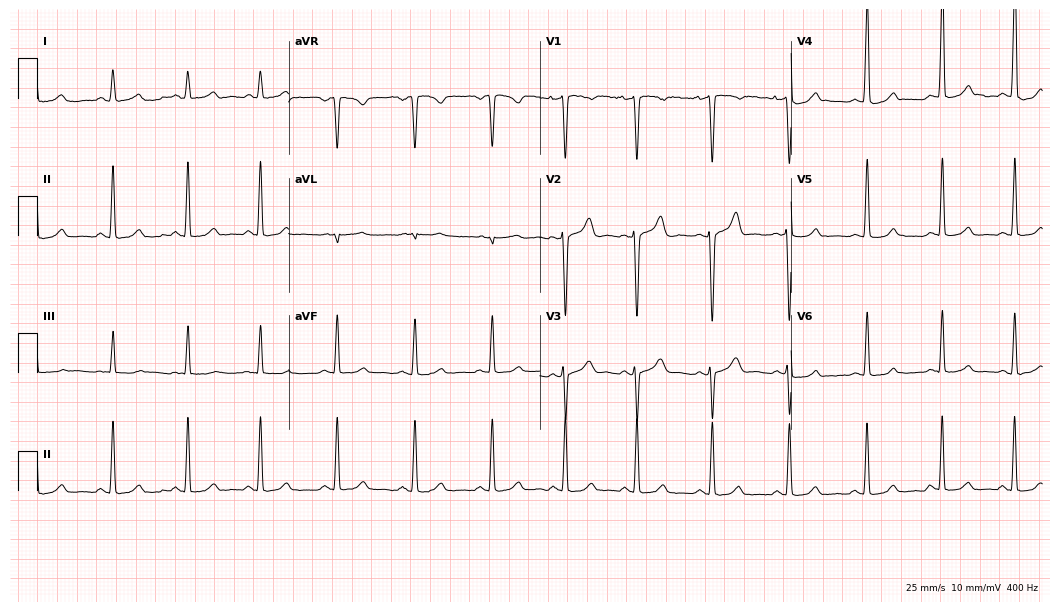
ECG — a female, 32 years old. Screened for six findings — first-degree AV block, right bundle branch block, left bundle branch block, sinus bradycardia, atrial fibrillation, sinus tachycardia — none is recorded.